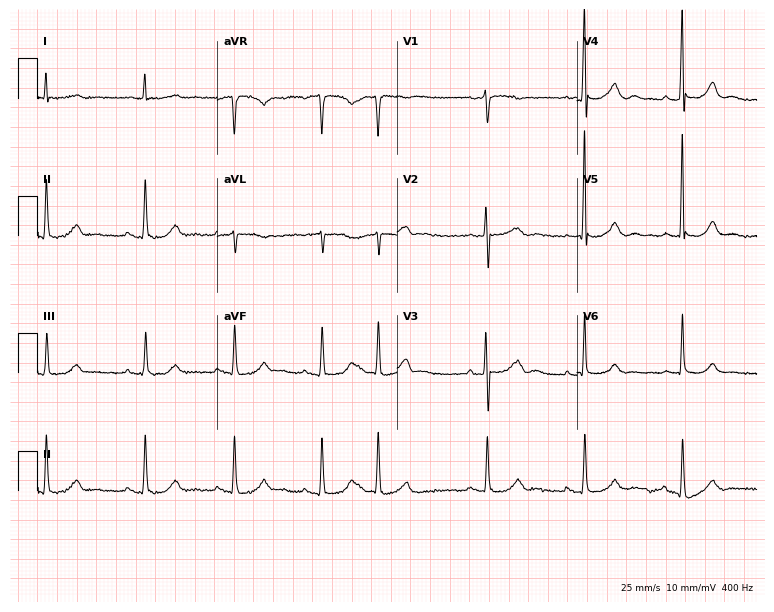
Standard 12-lead ECG recorded from a male patient, 76 years old. None of these six findings is recorded: first-degree AV block, right bundle branch block, left bundle branch block, sinus bradycardia, atrial fibrillation, sinus tachycardia.